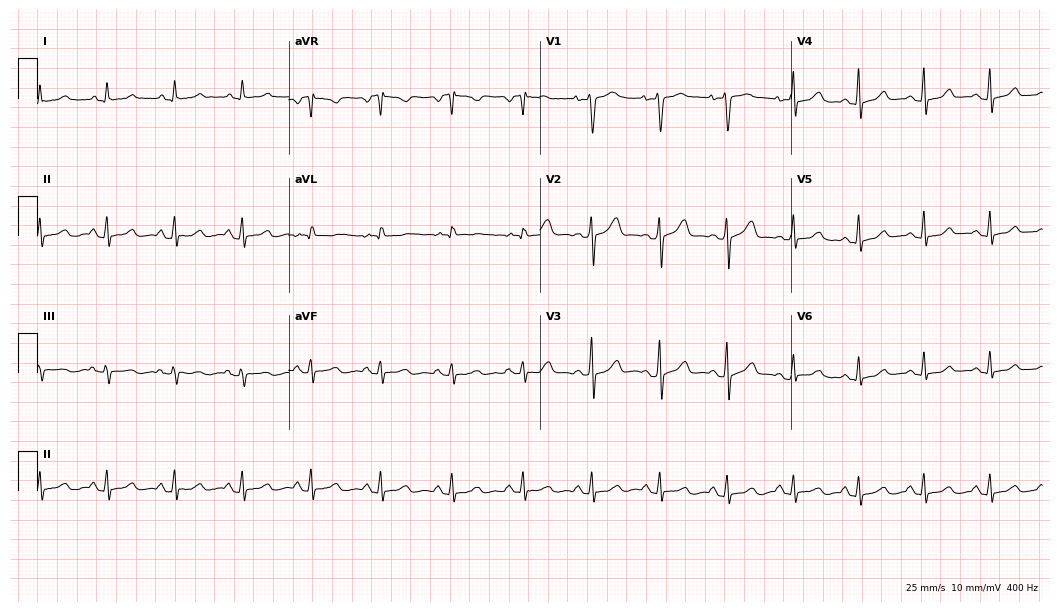
ECG — a 39-year-old female patient. Labelled as a normal ECG.